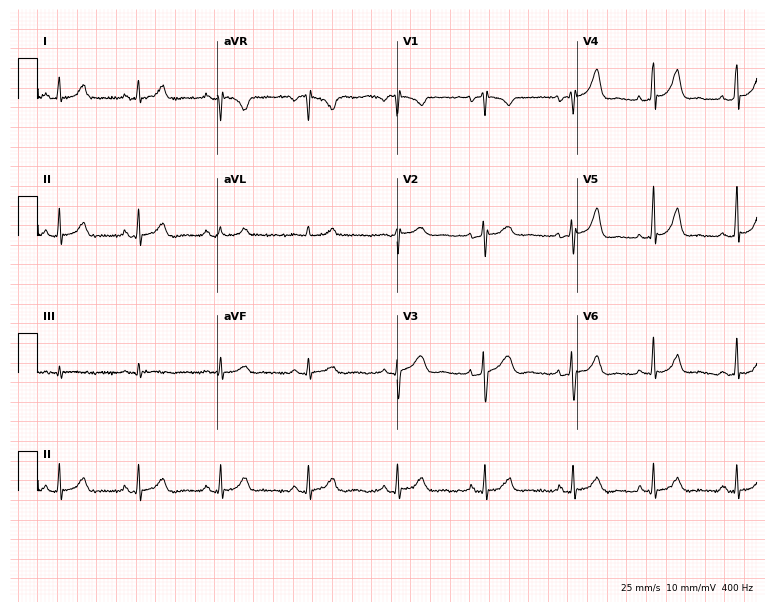
ECG (7.3-second recording at 400 Hz) — a 35-year-old female. Screened for six findings — first-degree AV block, right bundle branch block, left bundle branch block, sinus bradycardia, atrial fibrillation, sinus tachycardia — none is recorded. Other findings, if any, are not listed.